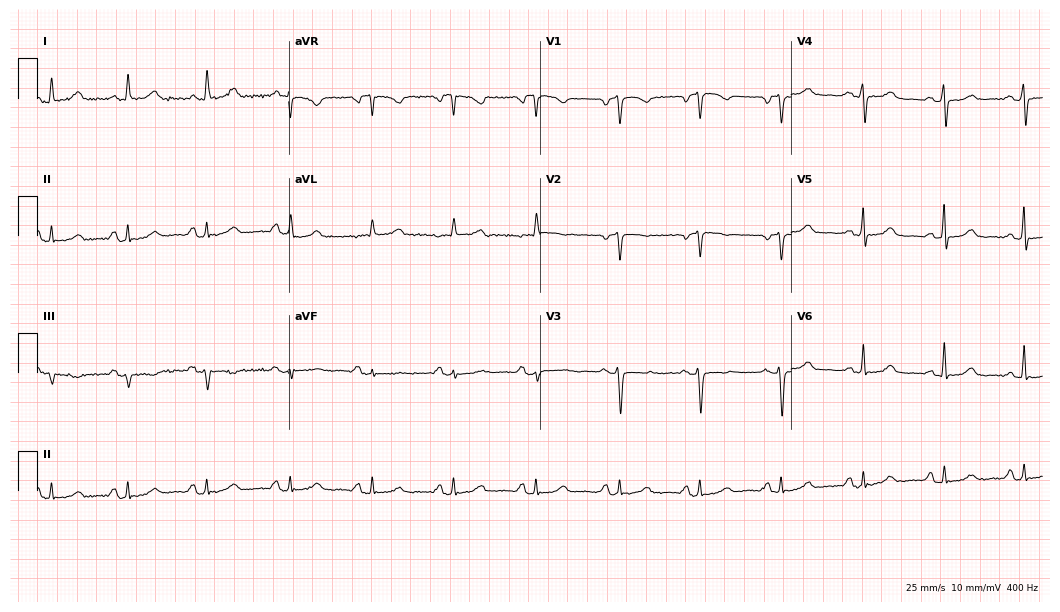
12-lead ECG from a 48-year-old female. Recorded interpretation: within normal limits.